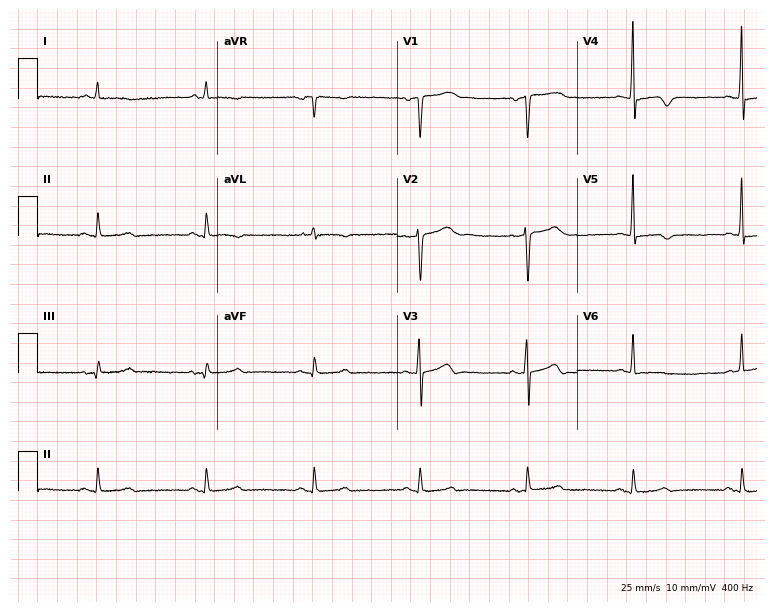
Resting 12-lead electrocardiogram (7.3-second recording at 400 Hz). Patient: a male, 75 years old. None of these six findings is recorded: first-degree AV block, right bundle branch block, left bundle branch block, sinus bradycardia, atrial fibrillation, sinus tachycardia.